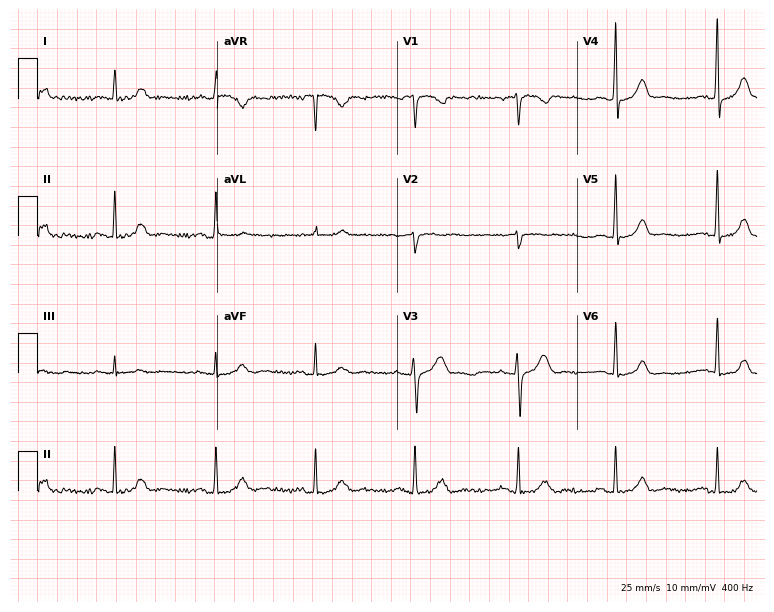
12-lead ECG (7.3-second recording at 400 Hz) from a female patient, 79 years old. Labelled as a normal ECG.